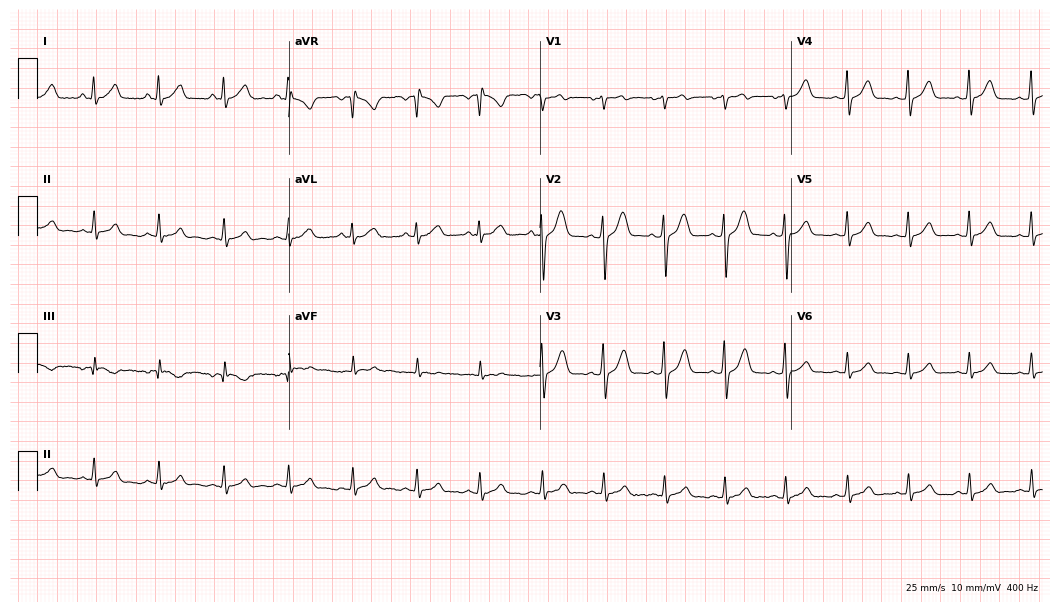
12-lead ECG from a woman, 24 years old (10.2-second recording at 400 Hz). No first-degree AV block, right bundle branch block, left bundle branch block, sinus bradycardia, atrial fibrillation or sinus tachycardia recorded for this tracing.